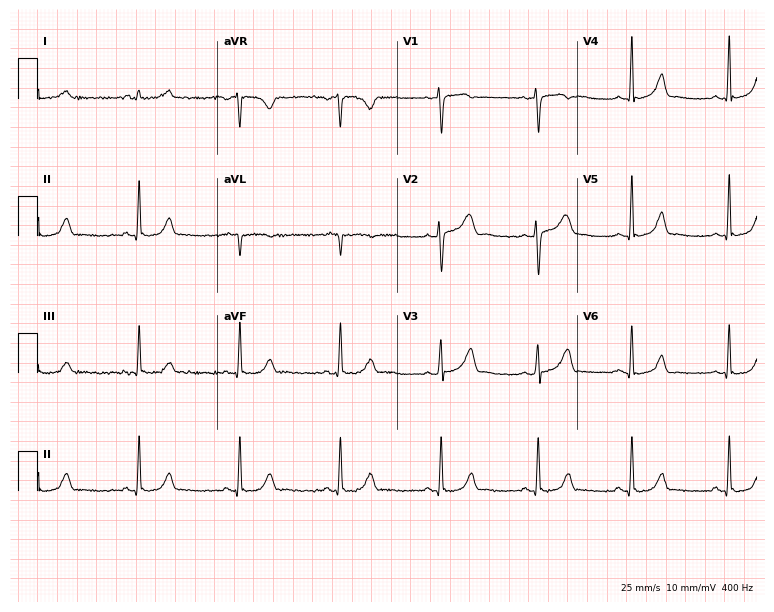
Electrocardiogram (7.3-second recording at 400 Hz), a female, 31 years old. Overall reading on record: normal ECG.